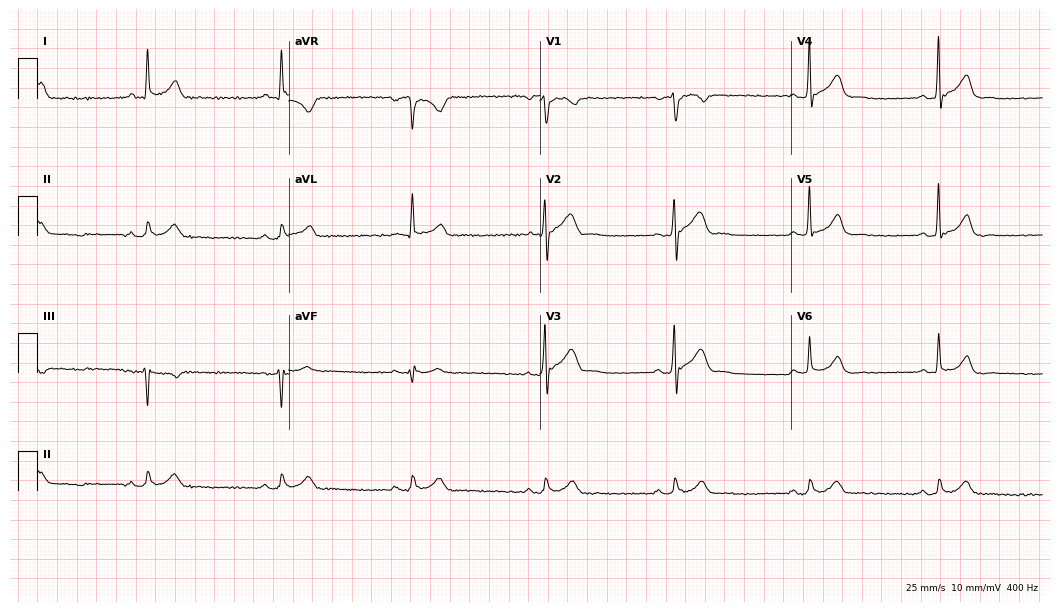
Electrocardiogram (10.2-second recording at 400 Hz), a 50-year-old male patient. Of the six screened findings (first-degree AV block, right bundle branch block (RBBB), left bundle branch block (LBBB), sinus bradycardia, atrial fibrillation (AF), sinus tachycardia), none is recorded. Only these six findings were labelled.